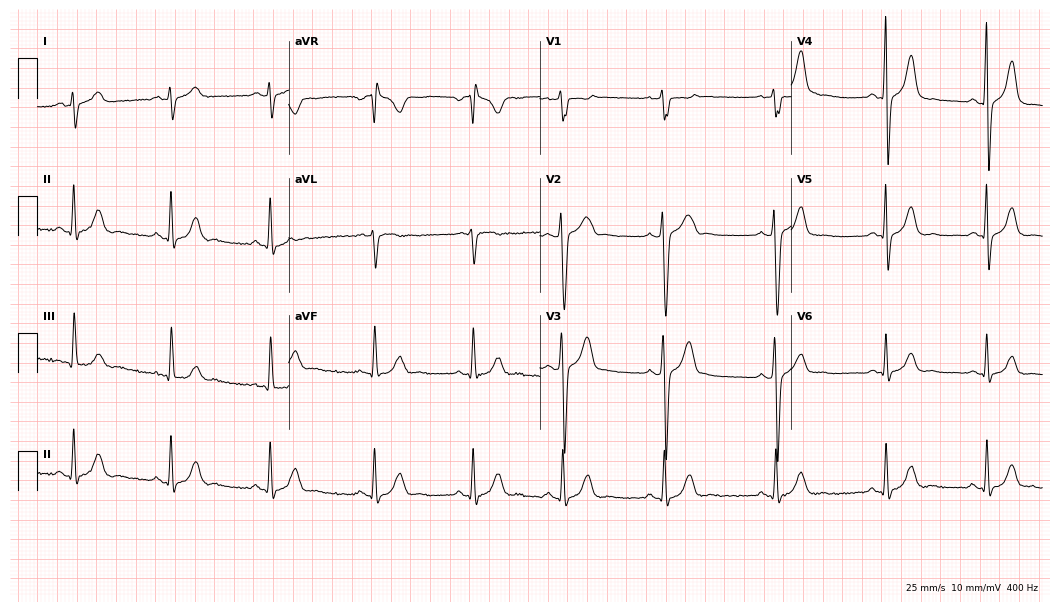
Standard 12-lead ECG recorded from a 29-year-old male. None of these six findings is recorded: first-degree AV block, right bundle branch block, left bundle branch block, sinus bradycardia, atrial fibrillation, sinus tachycardia.